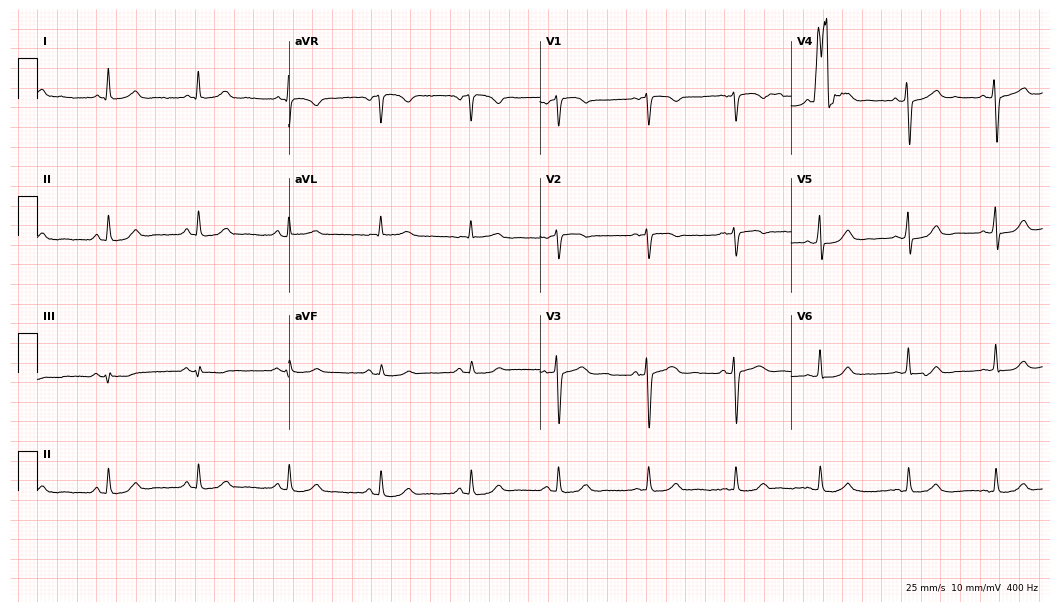
Standard 12-lead ECG recorded from a female, 56 years old. None of these six findings is recorded: first-degree AV block, right bundle branch block, left bundle branch block, sinus bradycardia, atrial fibrillation, sinus tachycardia. Findings outside these six are not listed.